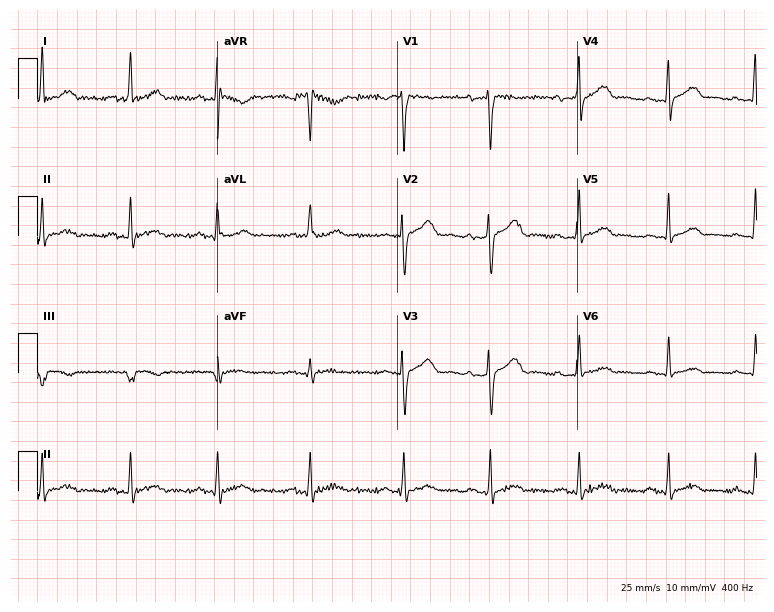
12-lead ECG from a female patient, 35 years old. Labelled as a normal ECG.